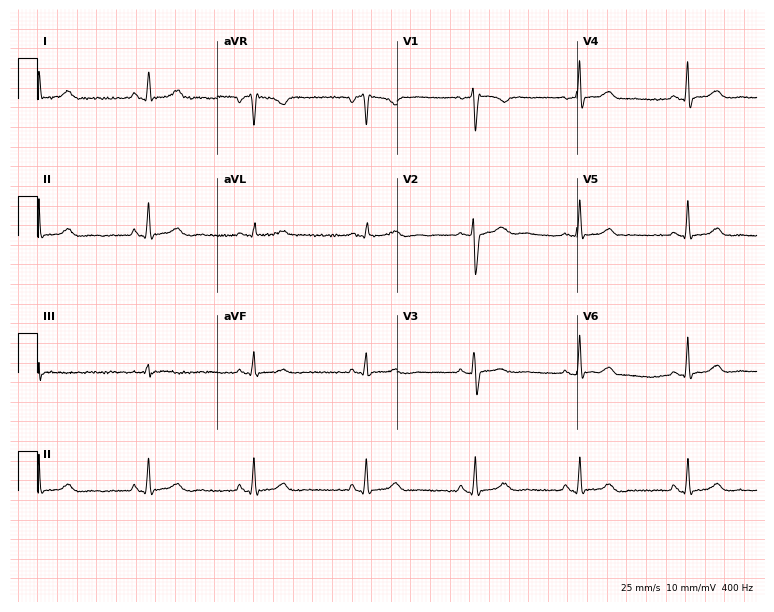
12-lead ECG from a female, 52 years old. Labelled as a normal ECG.